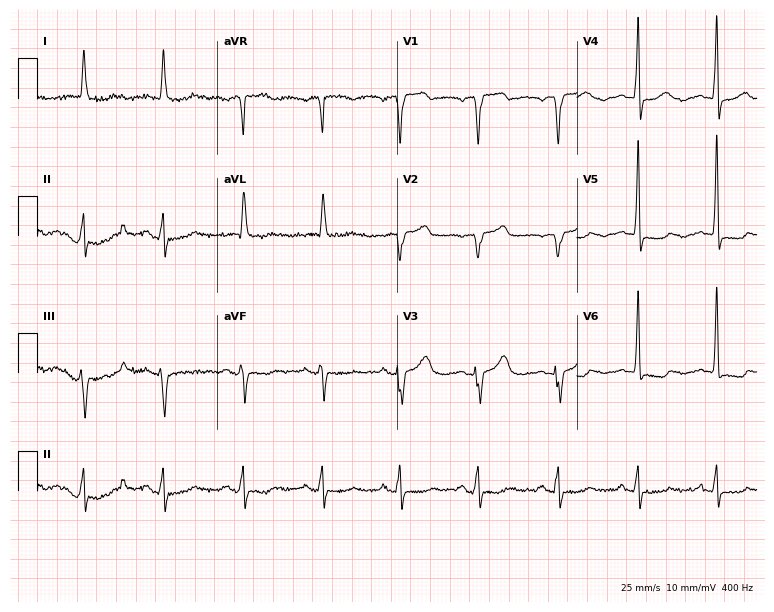
12-lead ECG from an 80-year-old female (7.3-second recording at 400 Hz). No first-degree AV block, right bundle branch block (RBBB), left bundle branch block (LBBB), sinus bradycardia, atrial fibrillation (AF) or sinus tachycardia recorded for this tracing.